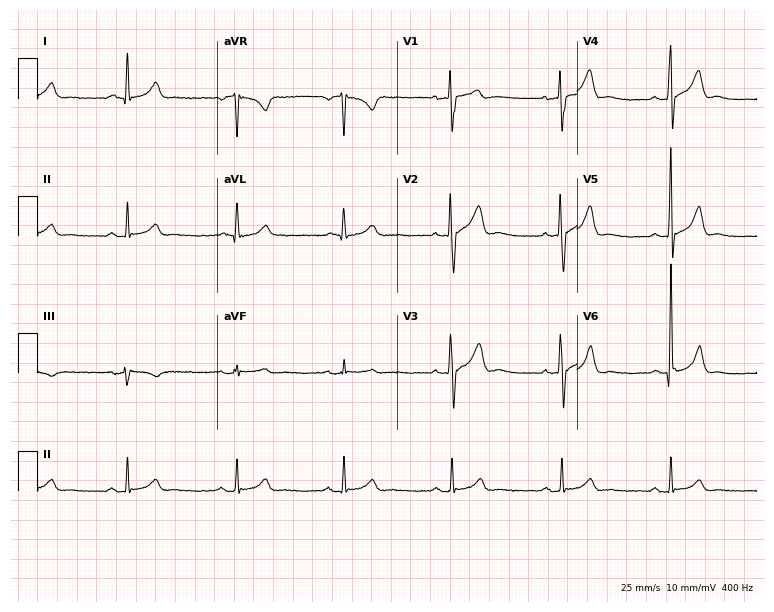
Electrocardiogram, a 37-year-old male. Overall reading on record: normal ECG.